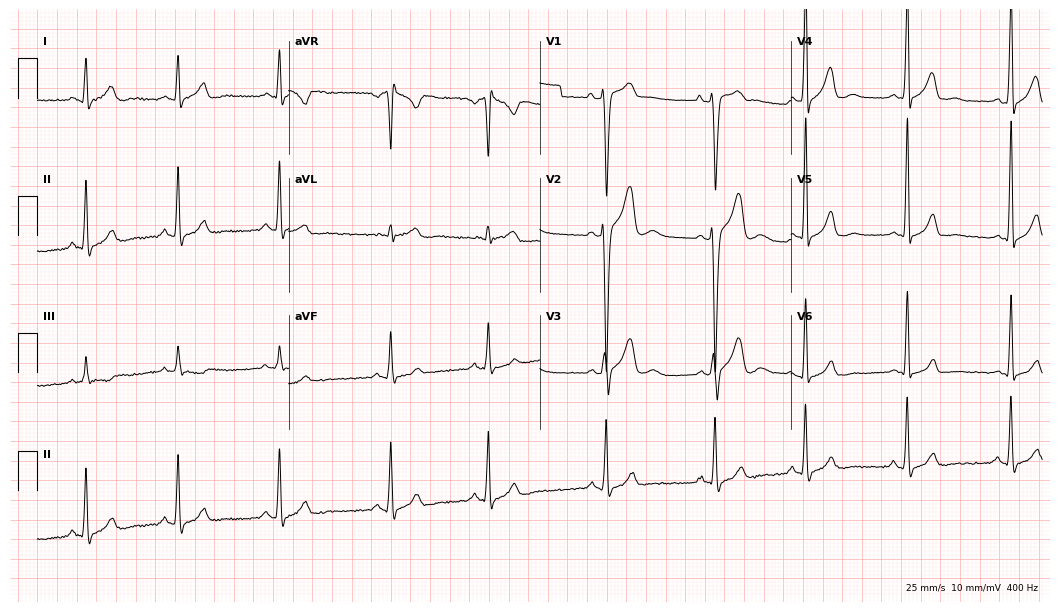
Electrocardiogram, a 22-year-old male. Of the six screened findings (first-degree AV block, right bundle branch block (RBBB), left bundle branch block (LBBB), sinus bradycardia, atrial fibrillation (AF), sinus tachycardia), none is recorded. Other findings, if any, are not listed.